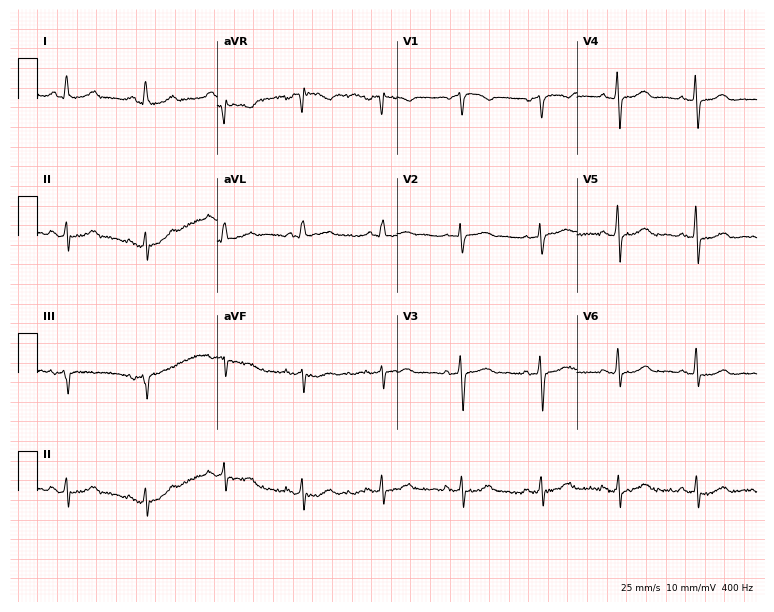
Electrocardiogram, a female, 65 years old. Overall reading on record: normal ECG.